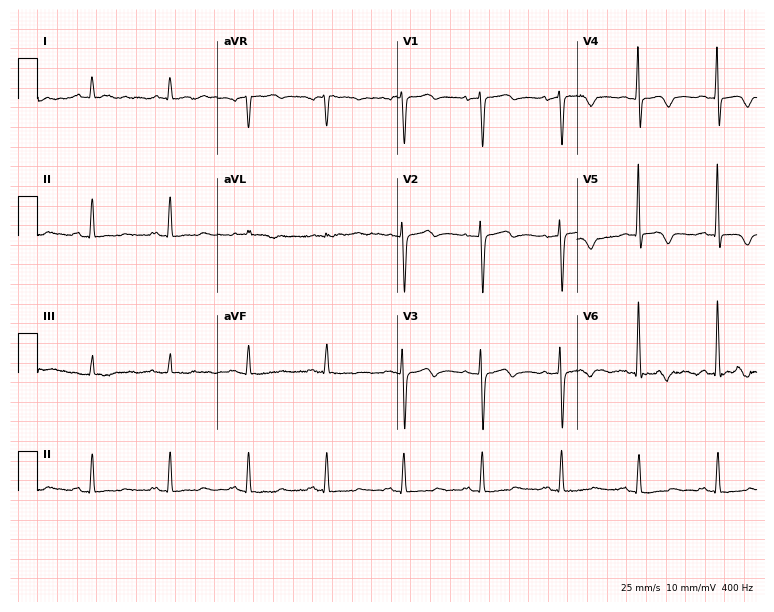
Electrocardiogram, a female, 71 years old. Of the six screened findings (first-degree AV block, right bundle branch block, left bundle branch block, sinus bradycardia, atrial fibrillation, sinus tachycardia), none is recorded. Other findings, if any, are not listed.